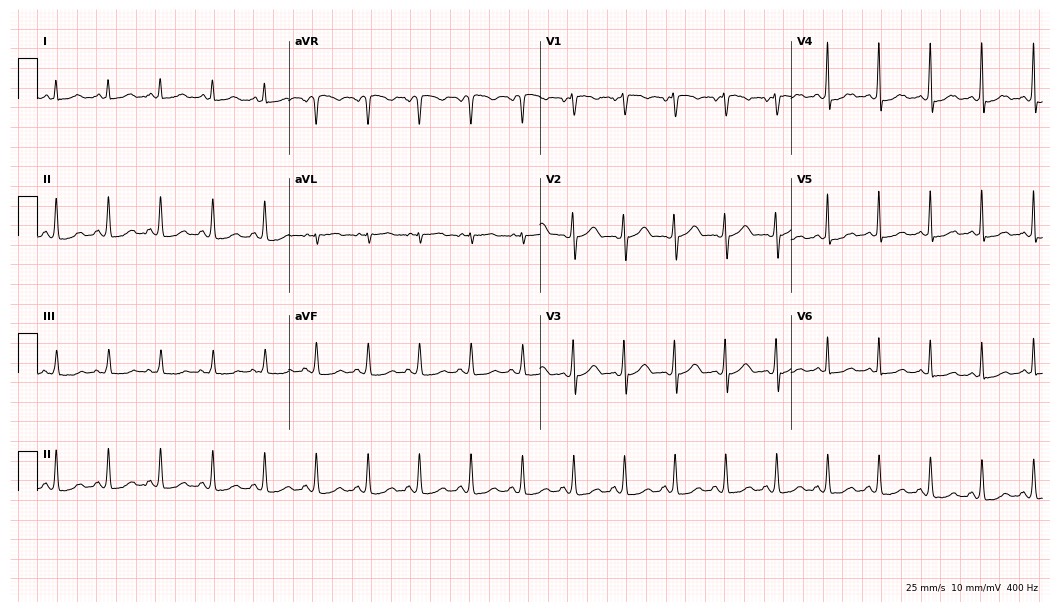
Electrocardiogram (10.2-second recording at 400 Hz), a 37-year-old female. Interpretation includes sinus tachycardia (a sinus rate of 100 beats per minute or more).